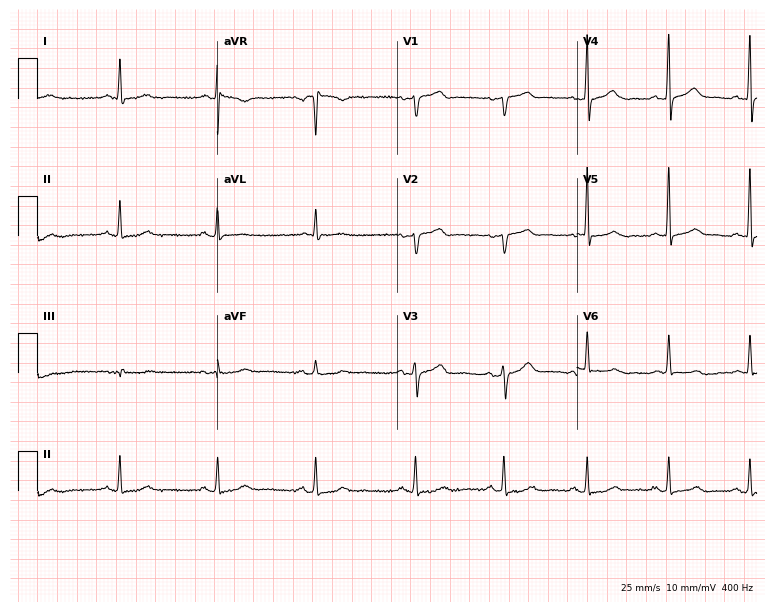
Standard 12-lead ECG recorded from a 62-year-old female patient. Read as a normal ECG.